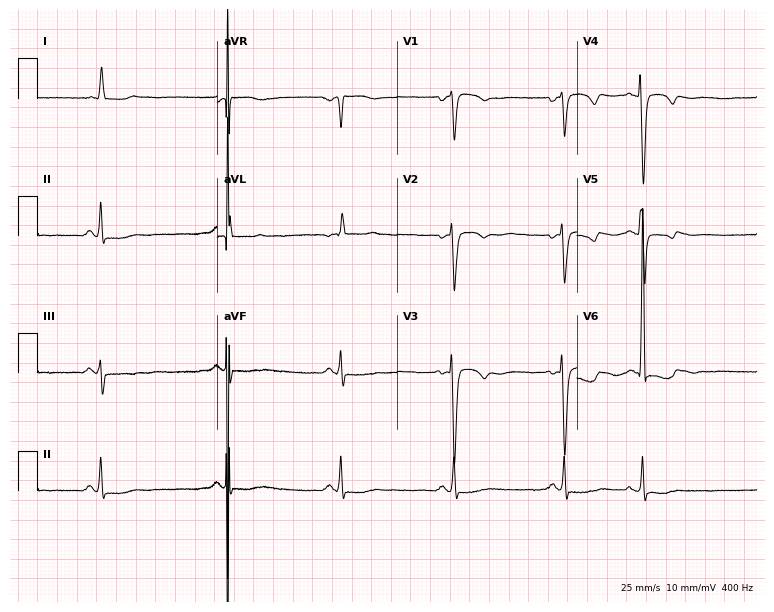
Resting 12-lead electrocardiogram. Patient: a woman, 58 years old. None of these six findings is recorded: first-degree AV block, right bundle branch block (RBBB), left bundle branch block (LBBB), sinus bradycardia, atrial fibrillation (AF), sinus tachycardia. Only these six findings were labelled.